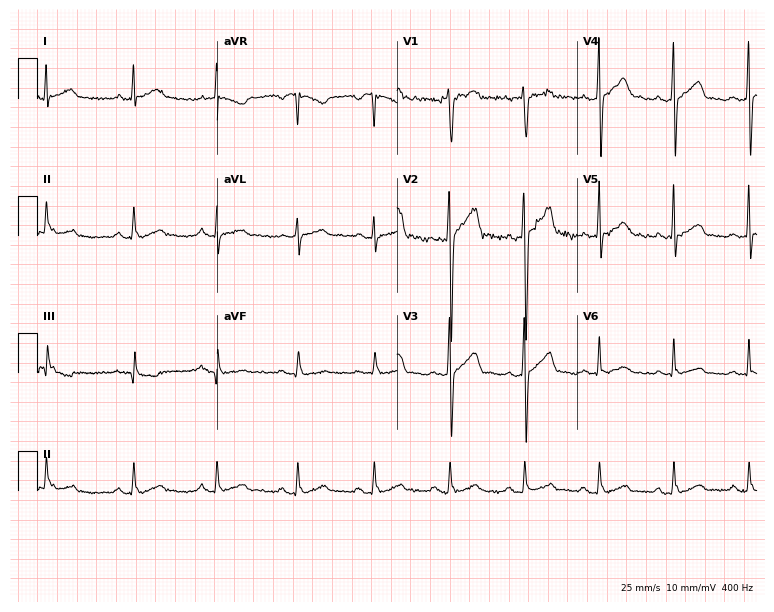
Resting 12-lead electrocardiogram (7.3-second recording at 400 Hz). Patient: a 30-year-old male. Read as a normal ECG.